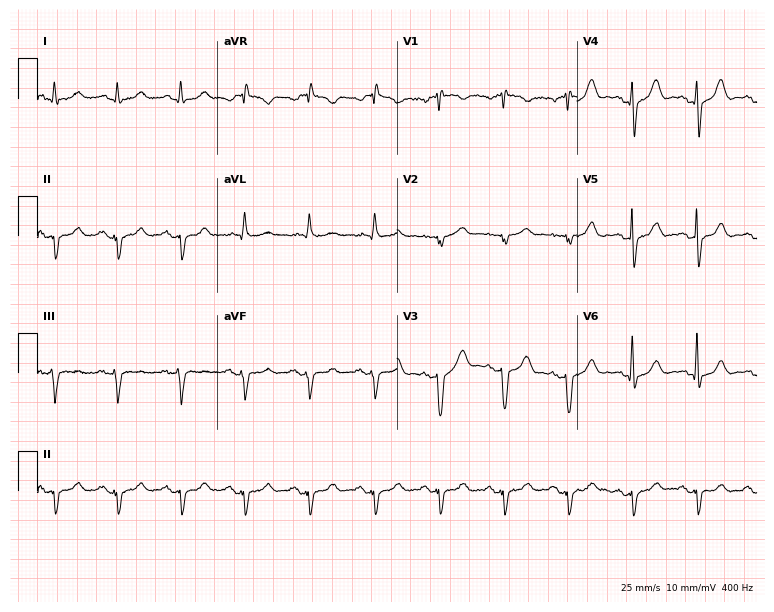
Standard 12-lead ECG recorded from a male, 73 years old. None of these six findings is recorded: first-degree AV block, right bundle branch block (RBBB), left bundle branch block (LBBB), sinus bradycardia, atrial fibrillation (AF), sinus tachycardia. Only these six findings were labelled.